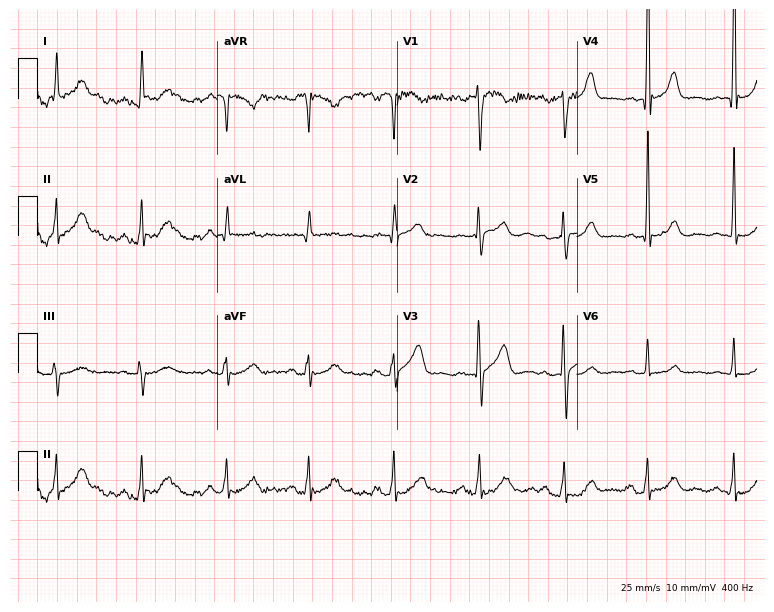
12-lead ECG from a 55-year-old male. Recorded interpretation: within normal limits.